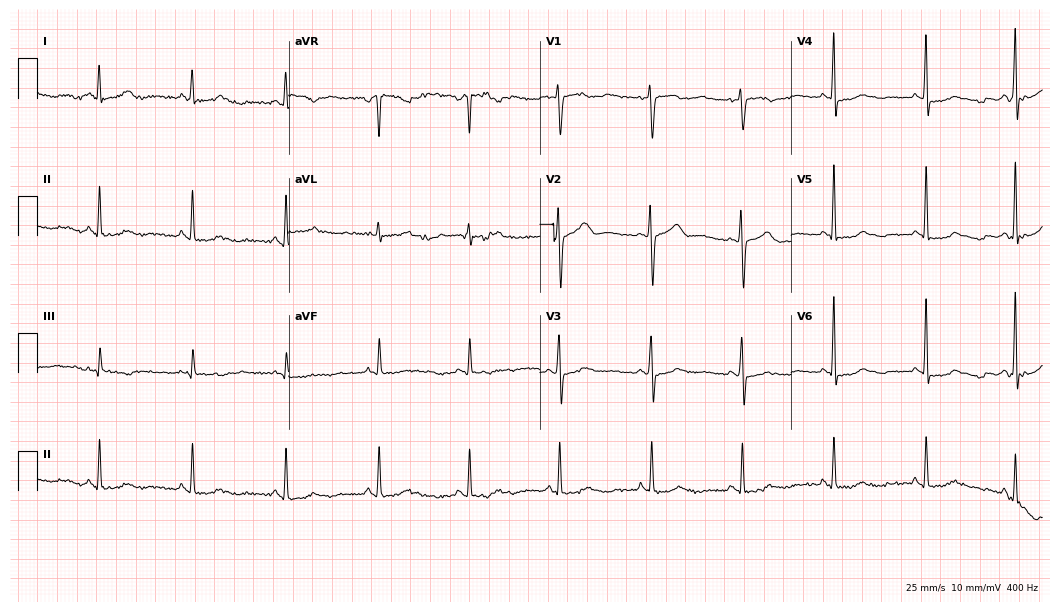
ECG (10.2-second recording at 400 Hz) — a 47-year-old woman. Screened for six findings — first-degree AV block, right bundle branch block, left bundle branch block, sinus bradycardia, atrial fibrillation, sinus tachycardia — none is recorded. Only these six findings were labelled.